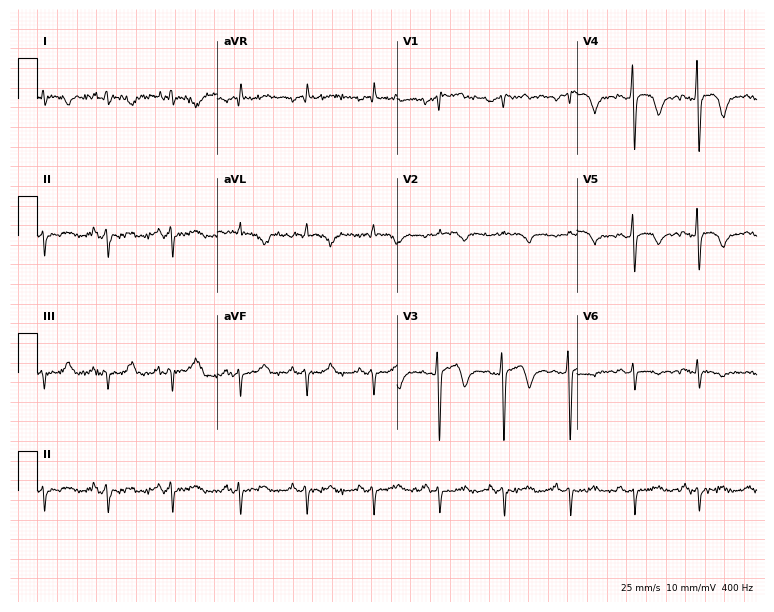
Standard 12-lead ECG recorded from a 55-year-old female. None of these six findings is recorded: first-degree AV block, right bundle branch block (RBBB), left bundle branch block (LBBB), sinus bradycardia, atrial fibrillation (AF), sinus tachycardia.